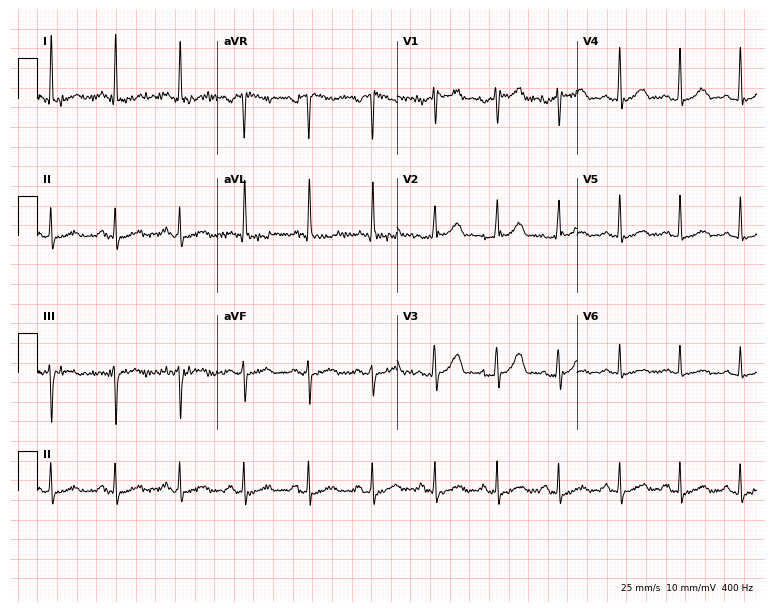
ECG (7.3-second recording at 400 Hz) — a 64-year-old male patient. Screened for six findings — first-degree AV block, right bundle branch block (RBBB), left bundle branch block (LBBB), sinus bradycardia, atrial fibrillation (AF), sinus tachycardia — none is recorded.